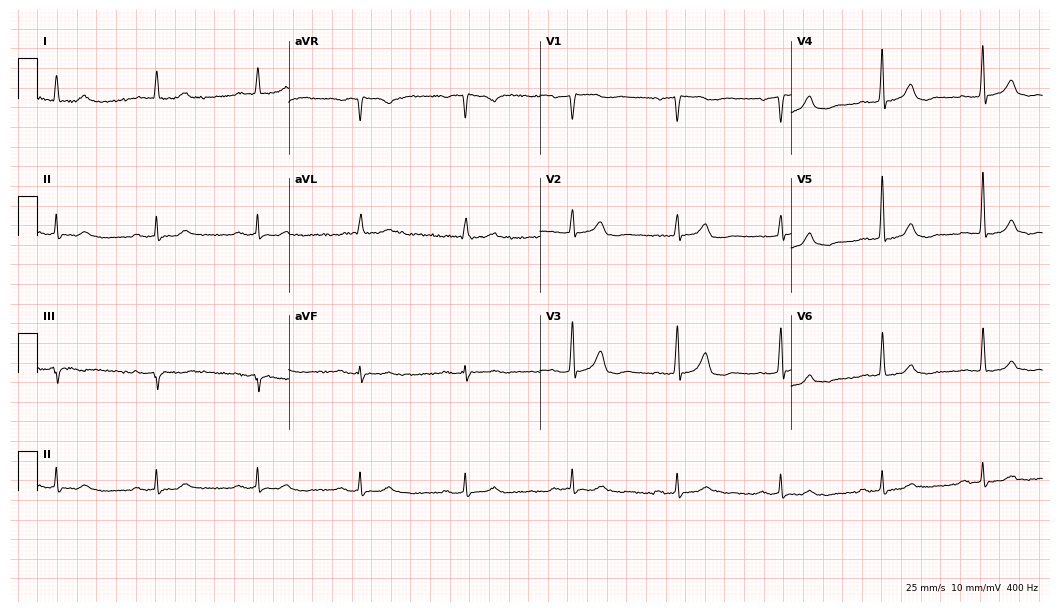
Resting 12-lead electrocardiogram (10.2-second recording at 400 Hz). Patient: a man, 63 years old. None of these six findings is recorded: first-degree AV block, right bundle branch block, left bundle branch block, sinus bradycardia, atrial fibrillation, sinus tachycardia. Findings outside these six are not listed.